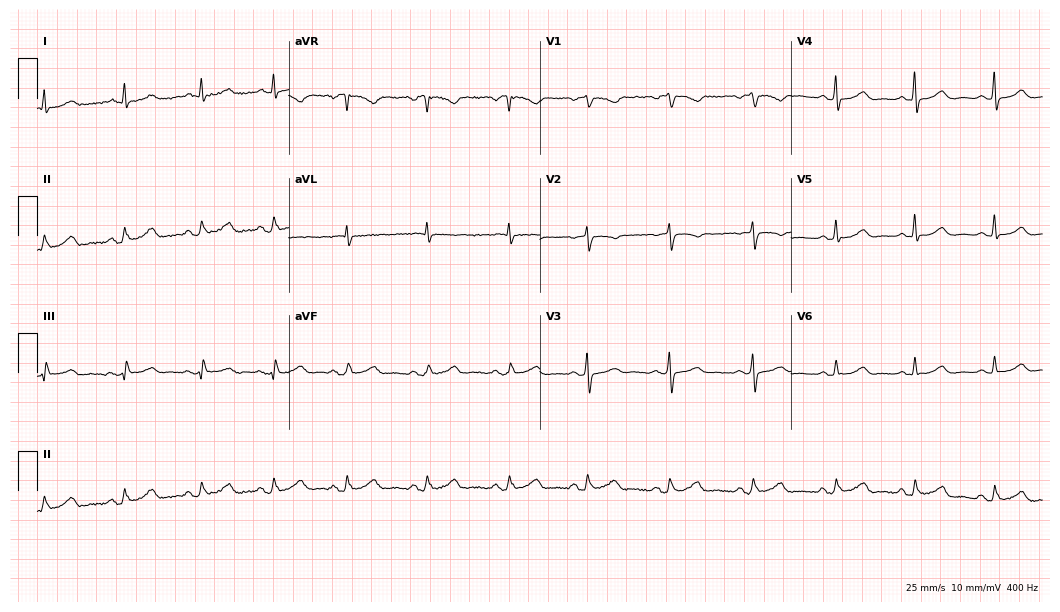
Electrocardiogram (10.2-second recording at 400 Hz), a 62-year-old female patient. Overall reading on record: normal ECG.